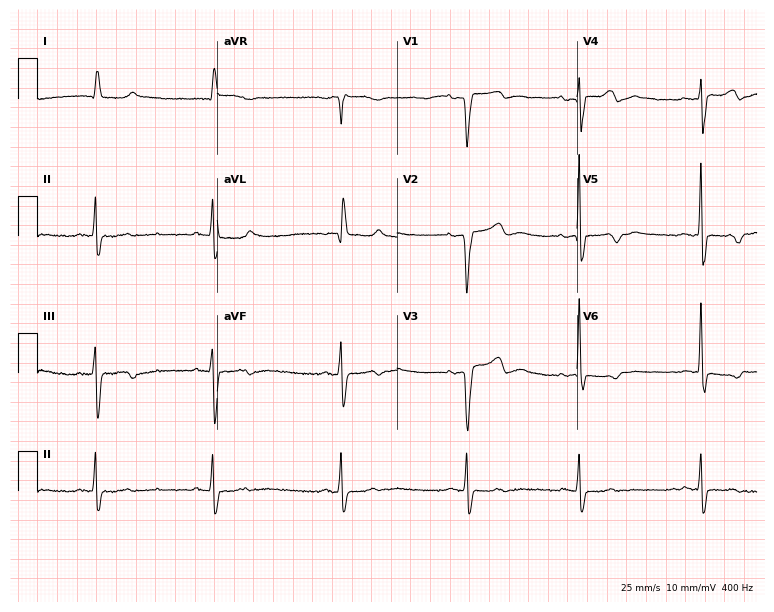
12-lead ECG from an 84-year-old female. Findings include sinus bradycardia (a sinus rate of 50 beats per minute or less).